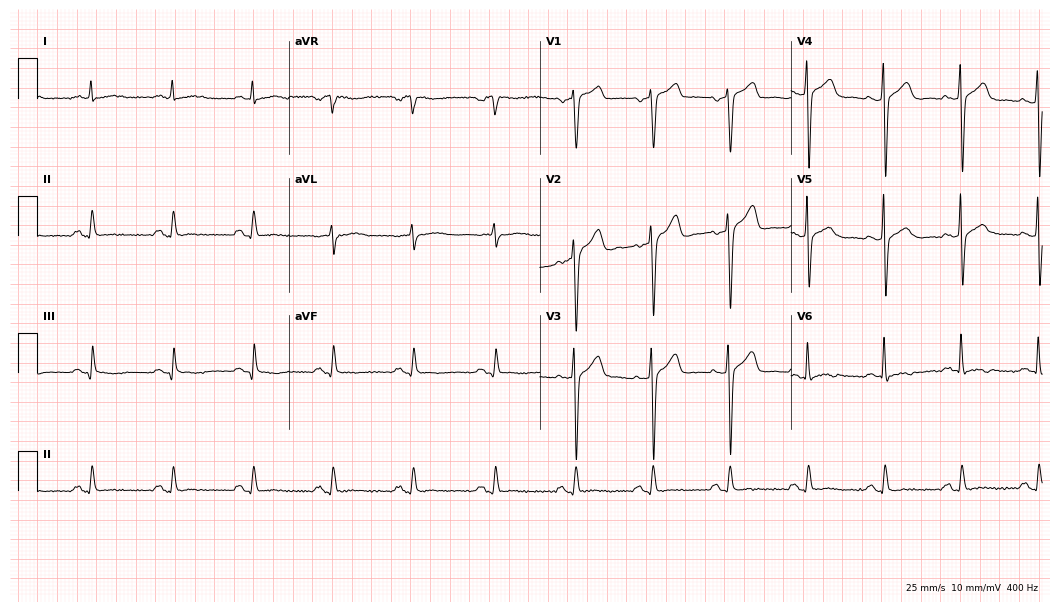
12-lead ECG from a male, 55 years old. Screened for six findings — first-degree AV block, right bundle branch block, left bundle branch block, sinus bradycardia, atrial fibrillation, sinus tachycardia — none is recorded.